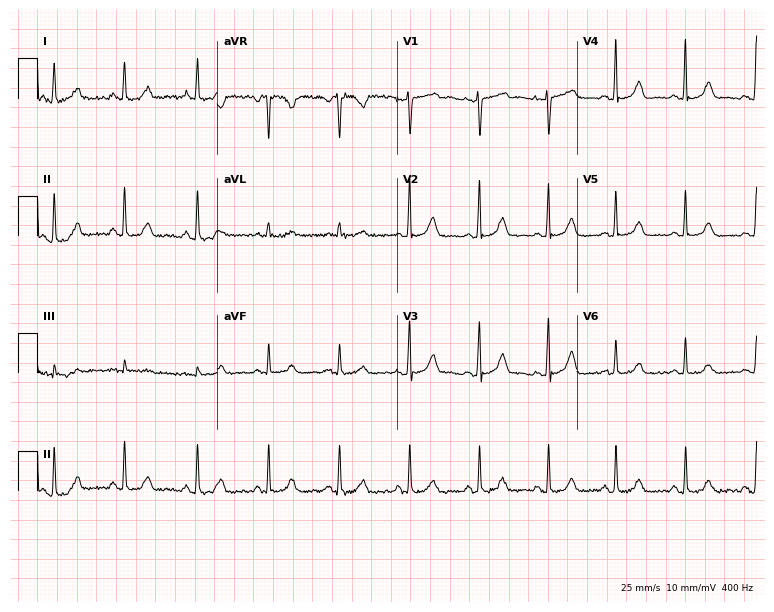
12-lead ECG from a 33-year-old female. Labelled as a normal ECG.